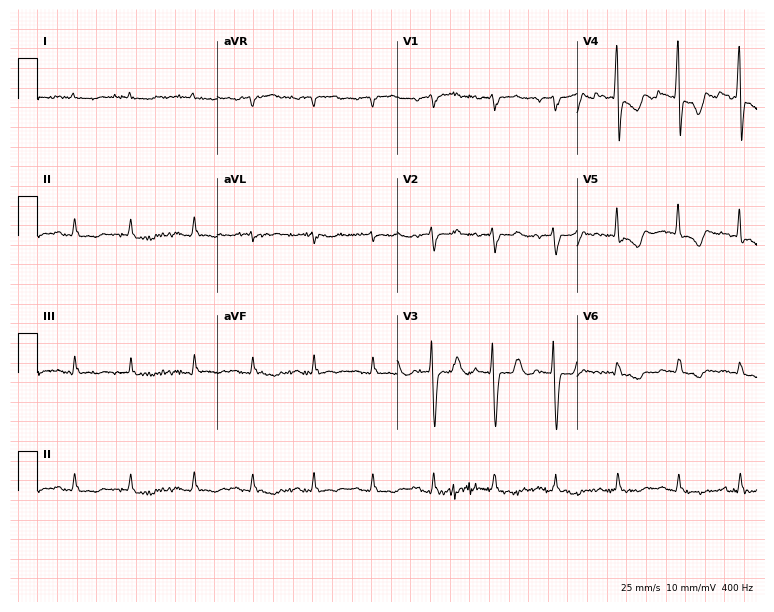
12-lead ECG from a male, 84 years old. Screened for six findings — first-degree AV block, right bundle branch block (RBBB), left bundle branch block (LBBB), sinus bradycardia, atrial fibrillation (AF), sinus tachycardia — none is recorded.